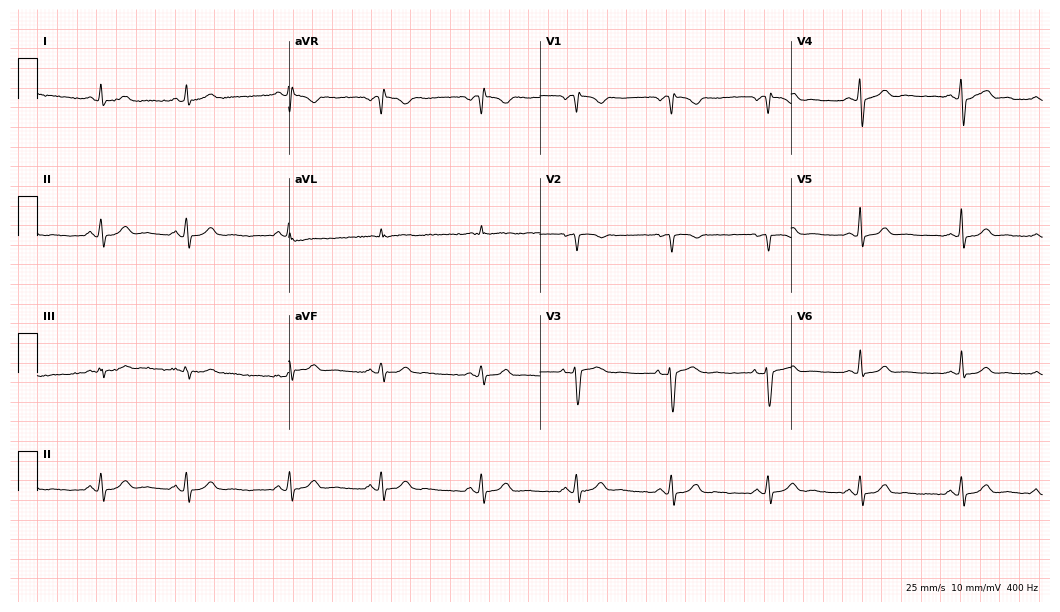
Electrocardiogram, a 24-year-old female. Overall reading on record: normal ECG.